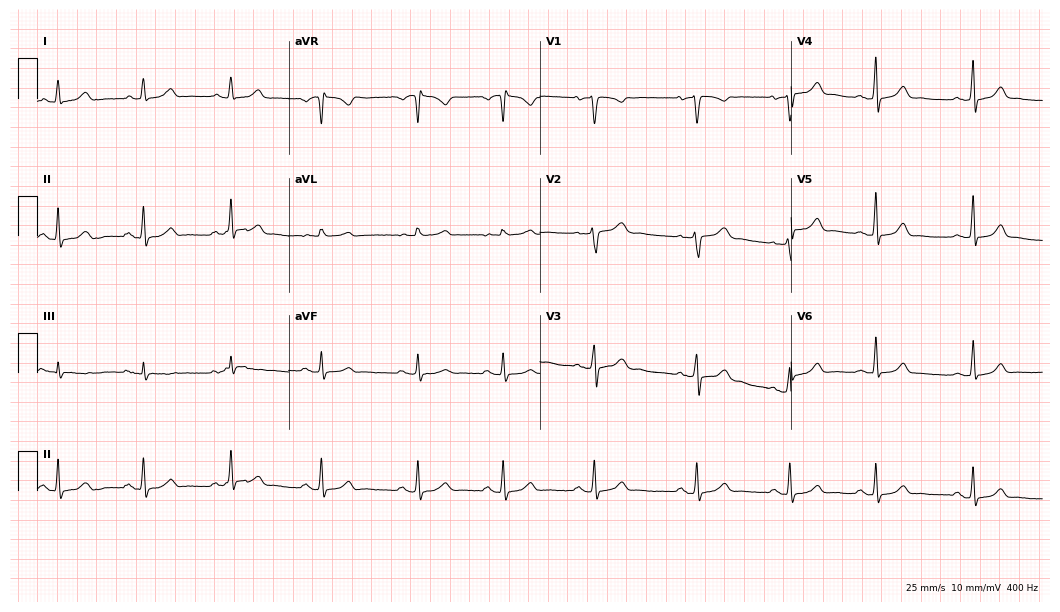
Standard 12-lead ECG recorded from a 31-year-old woman (10.2-second recording at 400 Hz). Read as a normal ECG.